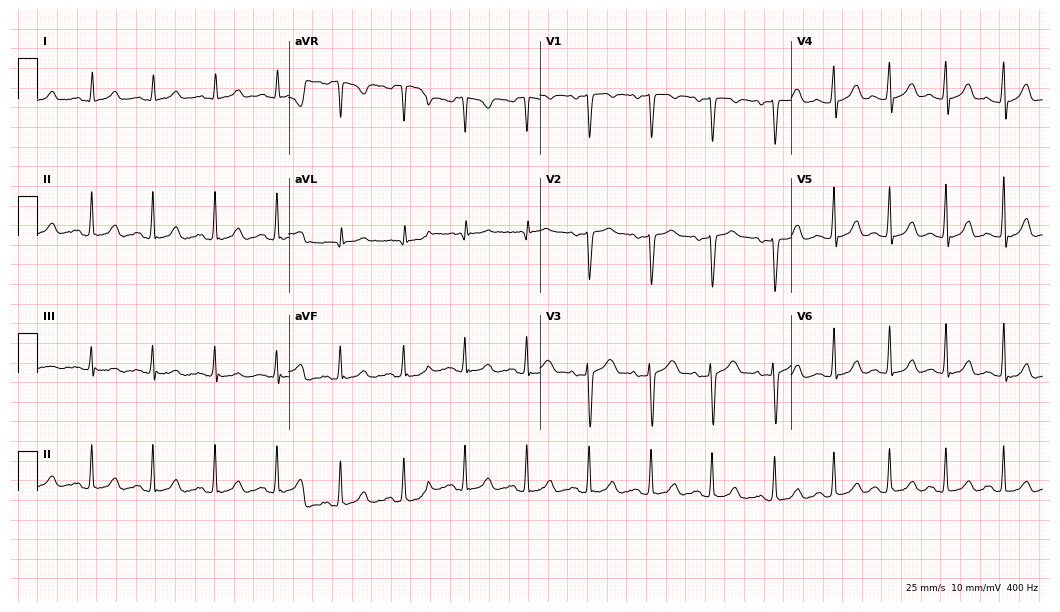
Resting 12-lead electrocardiogram. Patient: a 26-year-old female. Read as a normal ECG.